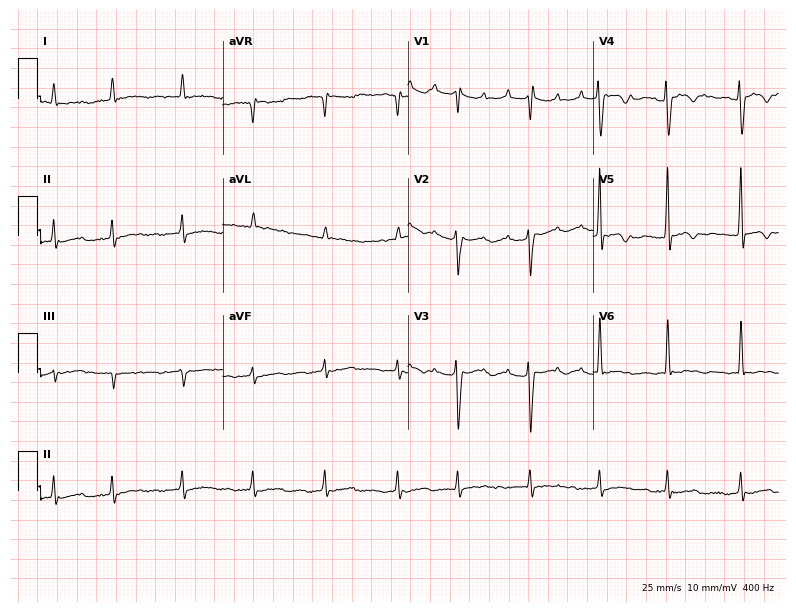
Standard 12-lead ECG recorded from a female, 75 years old (7.6-second recording at 400 Hz). None of these six findings is recorded: first-degree AV block, right bundle branch block, left bundle branch block, sinus bradycardia, atrial fibrillation, sinus tachycardia. Only these six findings were labelled.